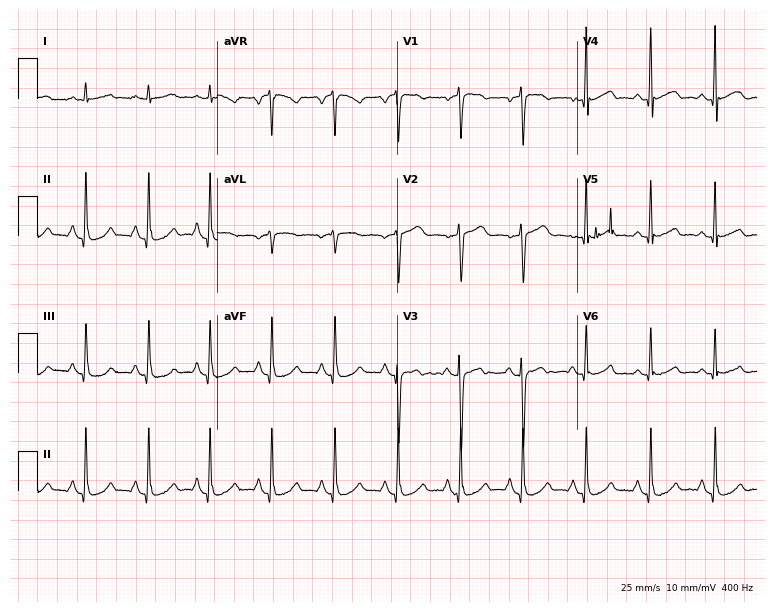
12-lead ECG from a woman, 61 years old. Screened for six findings — first-degree AV block, right bundle branch block (RBBB), left bundle branch block (LBBB), sinus bradycardia, atrial fibrillation (AF), sinus tachycardia — none is recorded.